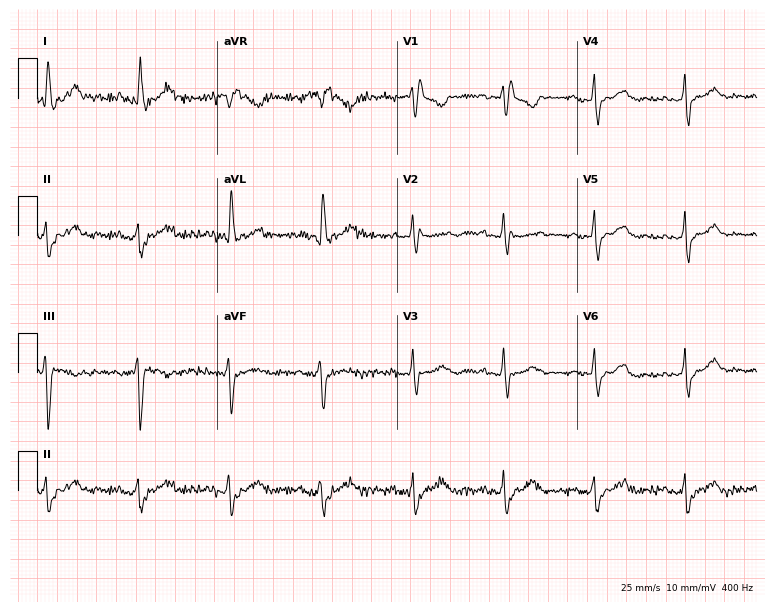
Standard 12-lead ECG recorded from a woman, 73 years old (7.3-second recording at 400 Hz). None of these six findings is recorded: first-degree AV block, right bundle branch block (RBBB), left bundle branch block (LBBB), sinus bradycardia, atrial fibrillation (AF), sinus tachycardia.